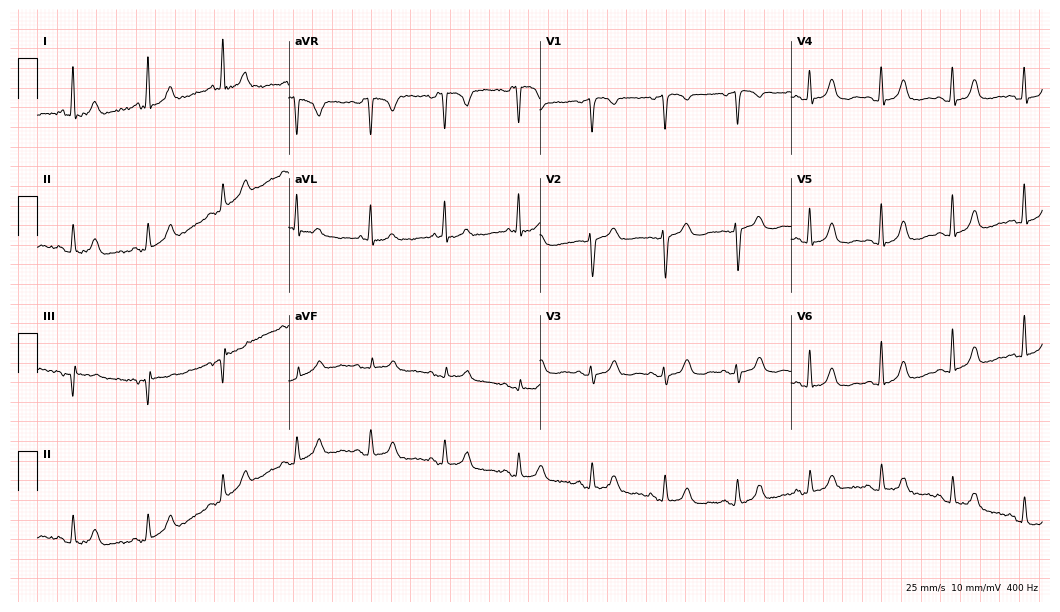
Electrocardiogram, a woman, 82 years old. Of the six screened findings (first-degree AV block, right bundle branch block (RBBB), left bundle branch block (LBBB), sinus bradycardia, atrial fibrillation (AF), sinus tachycardia), none is recorded. Findings outside these six are not listed.